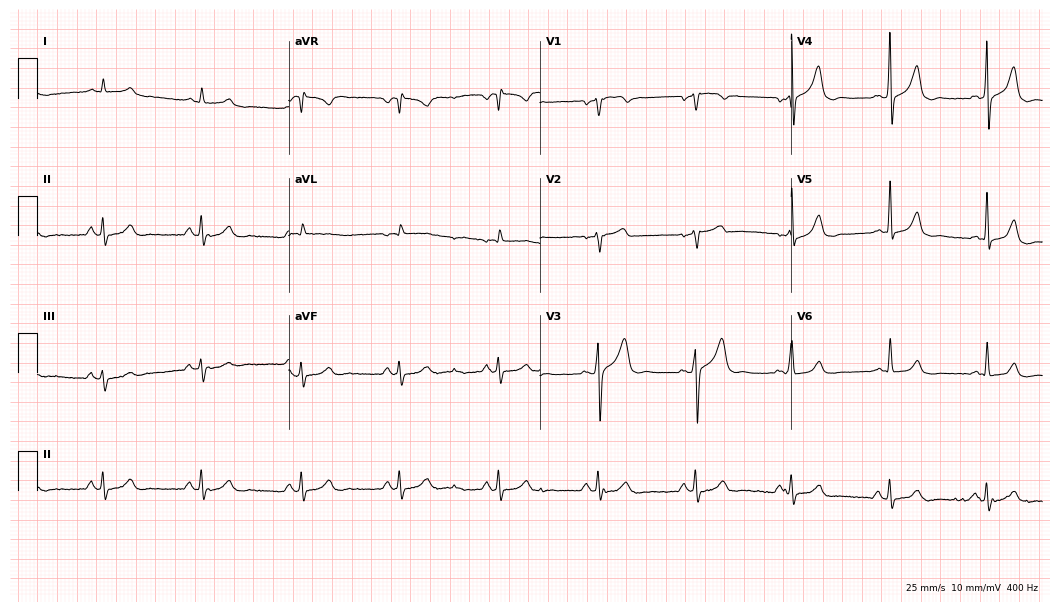
12-lead ECG from a male patient, 62 years old (10.2-second recording at 400 Hz). Recorded interpretation: within normal limits.